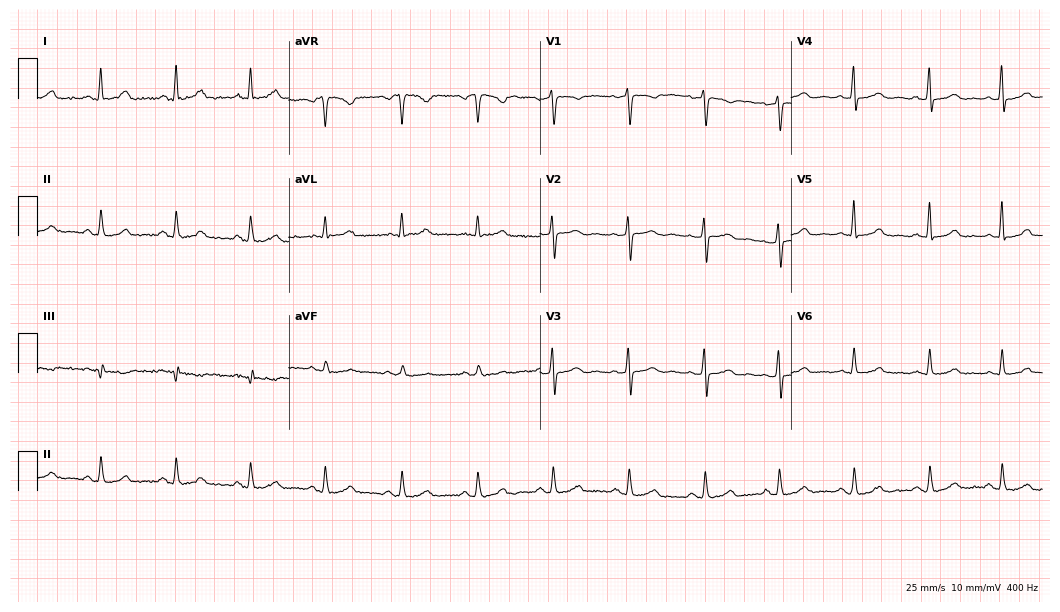
ECG (10.2-second recording at 400 Hz) — a female patient, 44 years old. Screened for six findings — first-degree AV block, right bundle branch block, left bundle branch block, sinus bradycardia, atrial fibrillation, sinus tachycardia — none is recorded. Other findings, if any, are not listed.